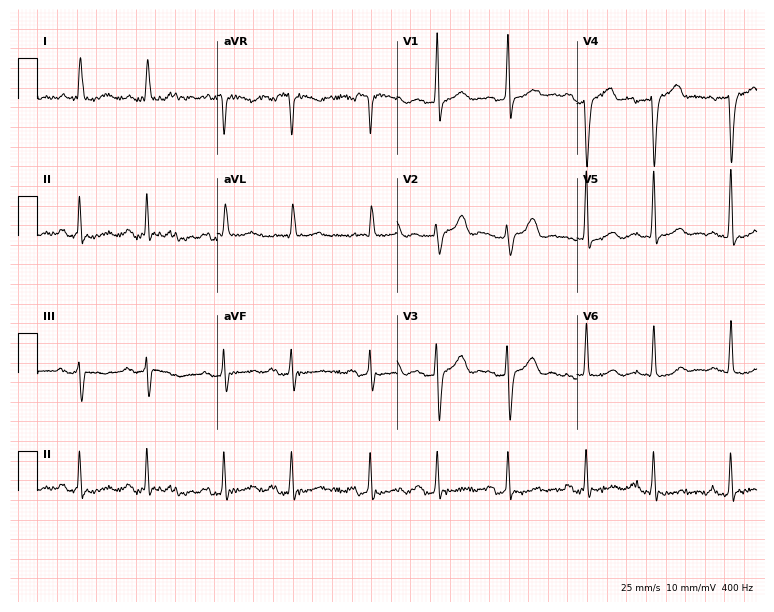
Standard 12-lead ECG recorded from a male, 82 years old (7.3-second recording at 400 Hz). None of these six findings is recorded: first-degree AV block, right bundle branch block (RBBB), left bundle branch block (LBBB), sinus bradycardia, atrial fibrillation (AF), sinus tachycardia. Other findings, if any, are not listed.